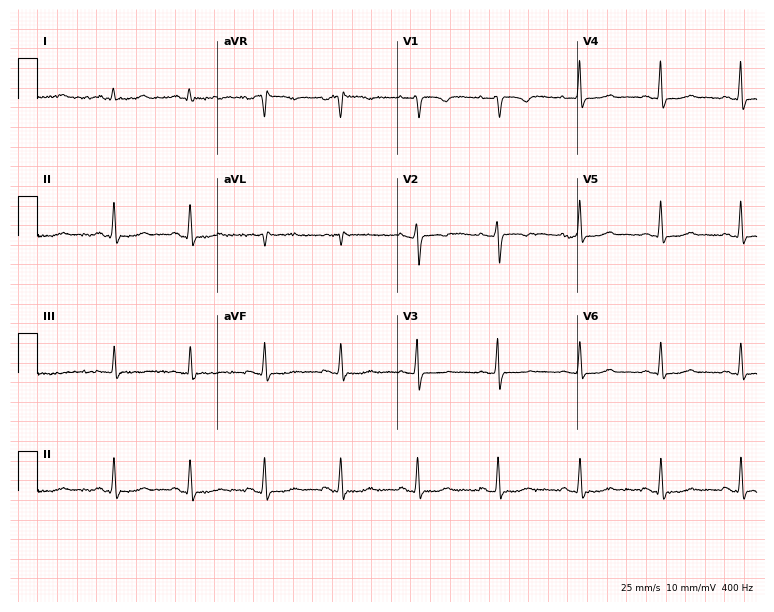
12-lead ECG from a female, 43 years old. Screened for six findings — first-degree AV block, right bundle branch block, left bundle branch block, sinus bradycardia, atrial fibrillation, sinus tachycardia — none is recorded.